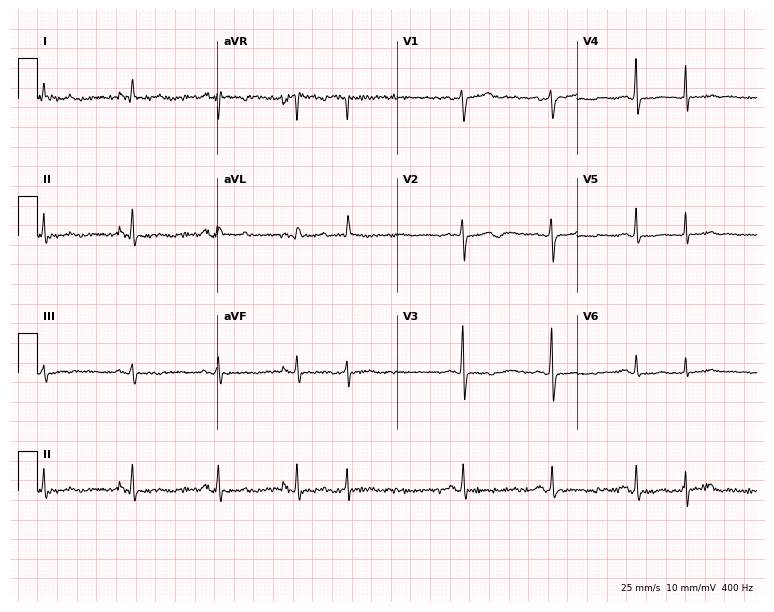
Standard 12-lead ECG recorded from a 55-year-old woman (7.3-second recording at 400 Hz). None of these six findings is recorded: first-degree AV block, right bundle branch block, left bundle branch block, sinus bradycardia, atrial fibrillation, sinus tachycardia.